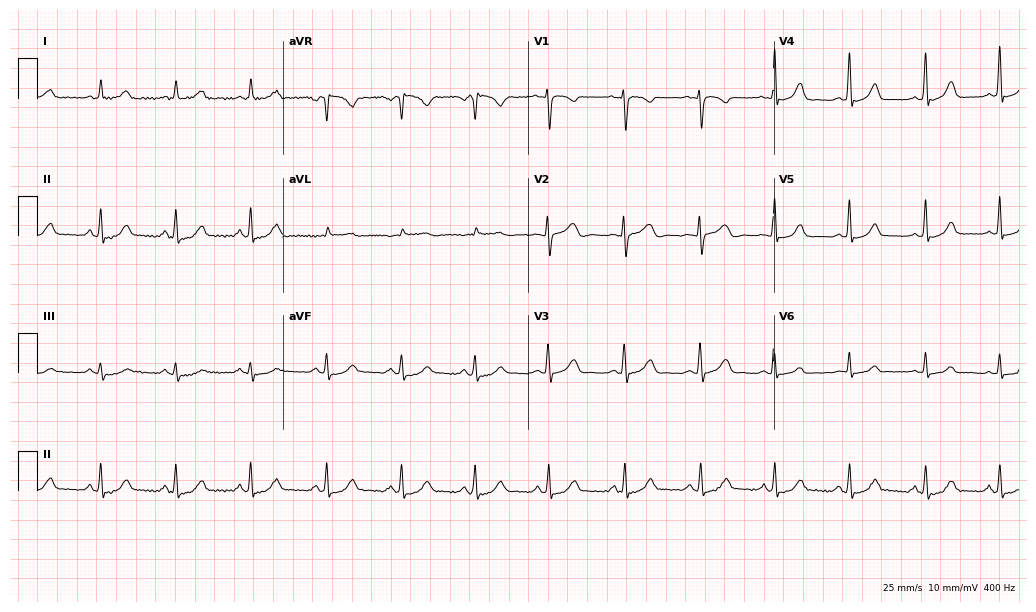
12-lead ECG from a 42-year-old female patient. Screened for six findings — first-degree AV block, right bundle branch block, left bundle branch block, sinus bradycardia, atrial fibrillation, sinus tachycardia — none is recorded. Findings outside these six are not listed.